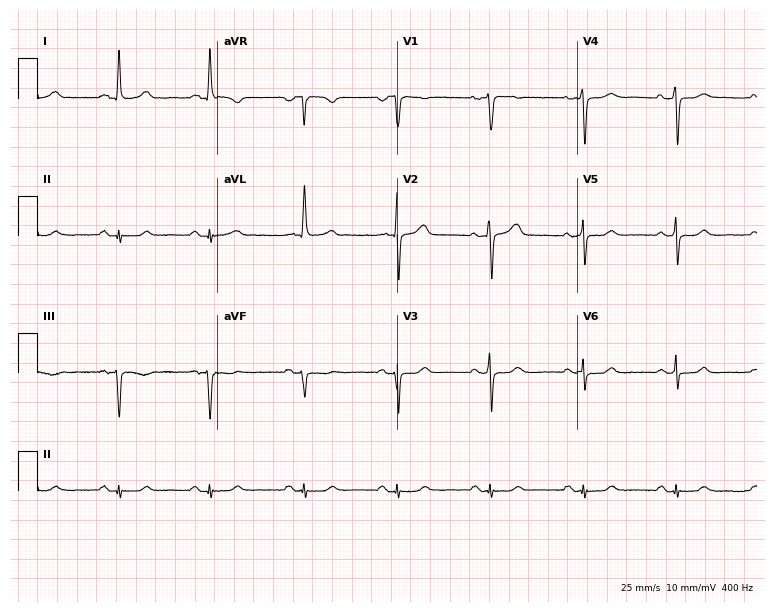
ECG — an 85-year-old female. Screened for six findings — first-degree AV block, right bundle branch block (RBBB), left bundle branch block (LBBB), sinus bradycardia, atrial fibrillation (AF), sinus tachycardia — none is recorded.